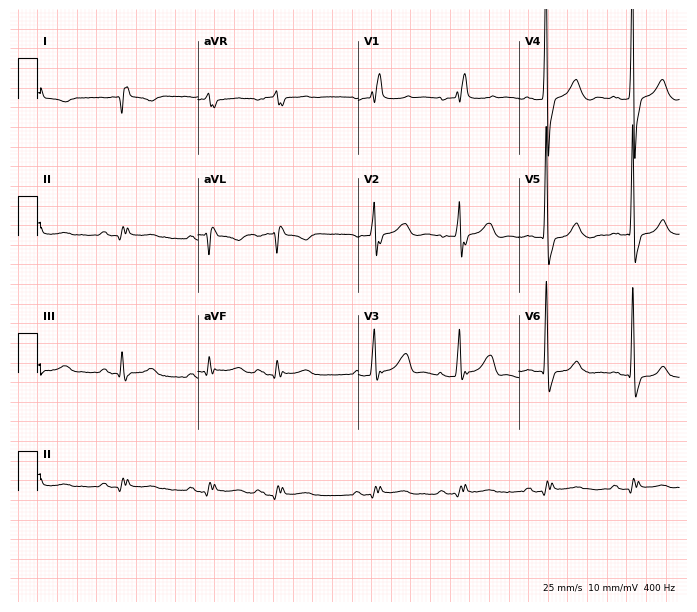
Electrocardiogram (6.5-second recording at 400 Hz), an 86-year-old male patient. Of the six screened findings (first-degree AV block, right bundle branch block (RBBB), left bundle branch block (LBBB), sinus bradycardia, atrial fibrillation (AF), sinus tachycardia), none is recorded.